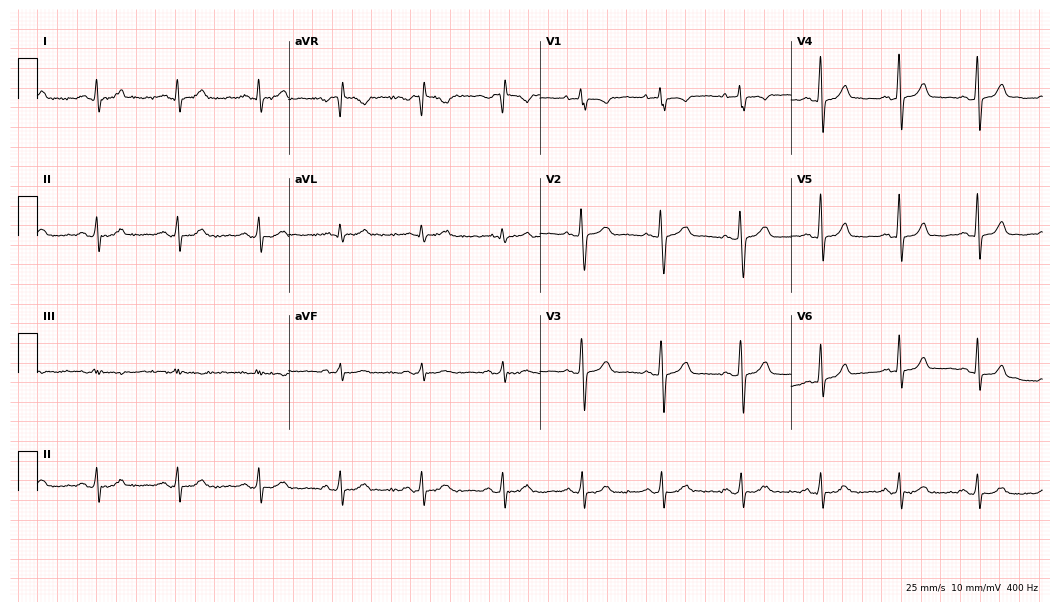
Resting 12-lead electrocardiogram. Patient: a woman, 46 years old. Read as a normal ECG.